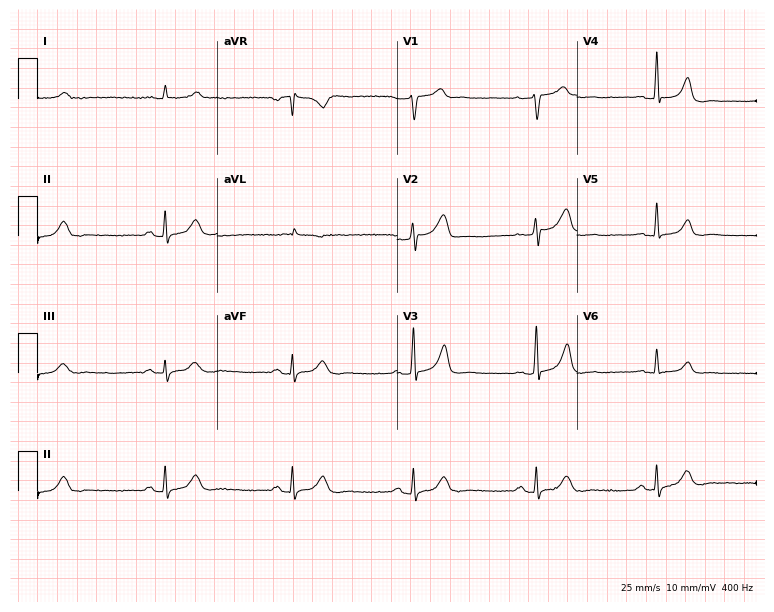
Resting 12-lead electrocardiogram. Patient: a man, 58 years old. None of these six findings is recorded: first-degree AV block, right bundle branch block, left bundle branch block, sinus bradycardia, atrial fibrillation, sinus tachycardia.